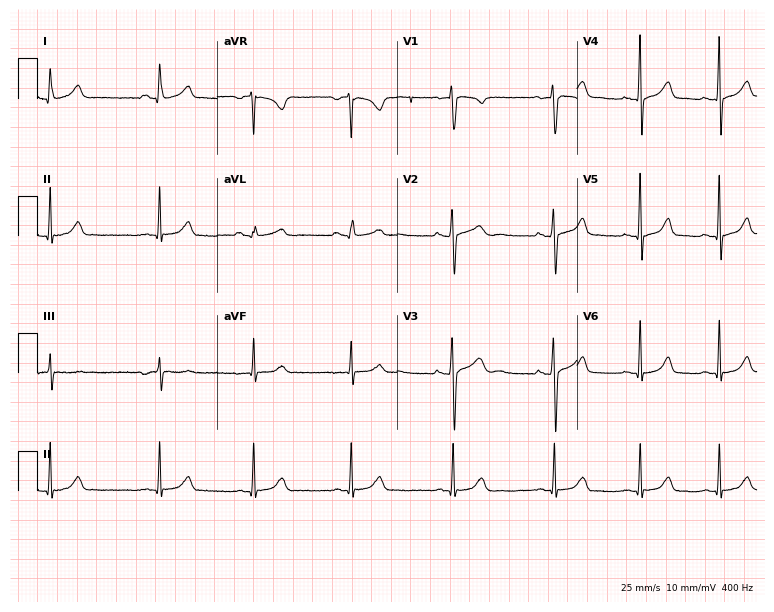
Standard 12-lead ECG recorded from a female, 18 years old (7.3-second recording at 400 Hz). Read as a normal ECG.